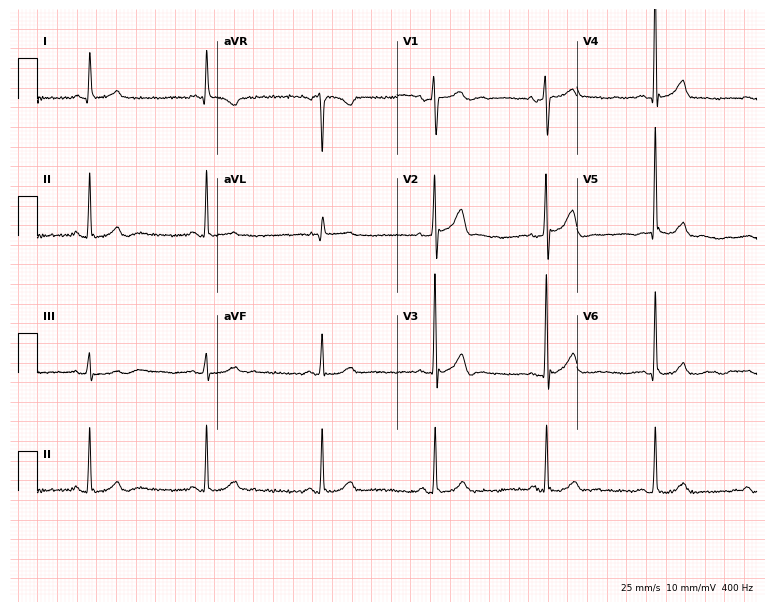
12-lead ECG from a 64-year-old male. Screened for six findings — first-degree AV block, right bundle branch block, left bundle branch block, sinus bradycardia, atrial fibrillation, sinus tachycardia — none is recorded.